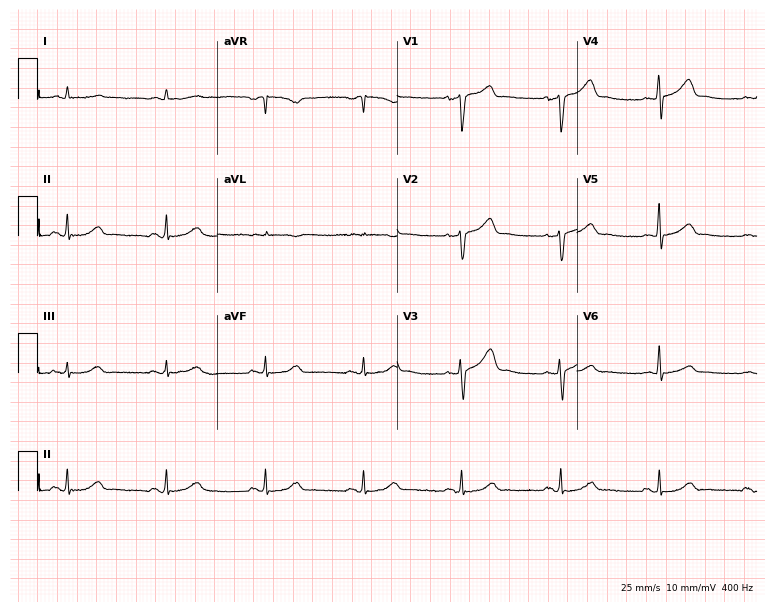
12-lead ECG from a 57-year-old male patient. Labelled as a normal ECG.